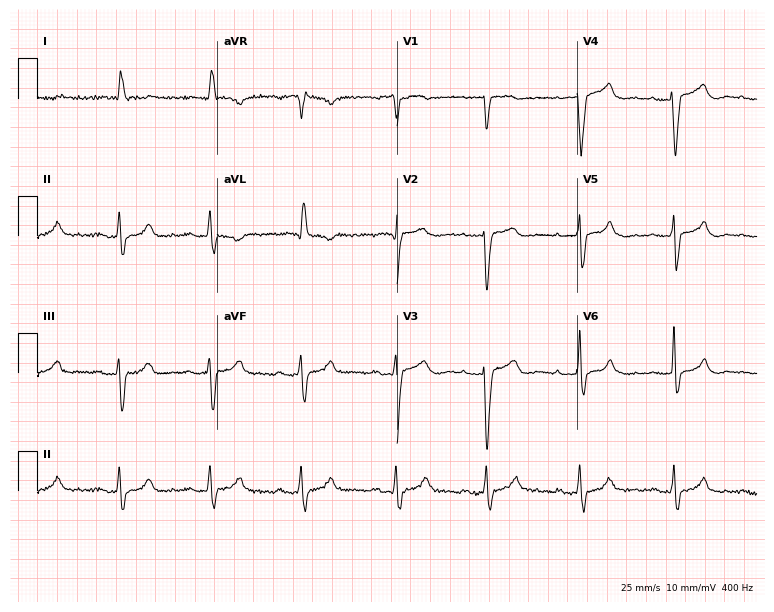
ECG (7.3-second recording at 400 Hz) — an 82-year-old female patient. Findings include first-degree AV block.